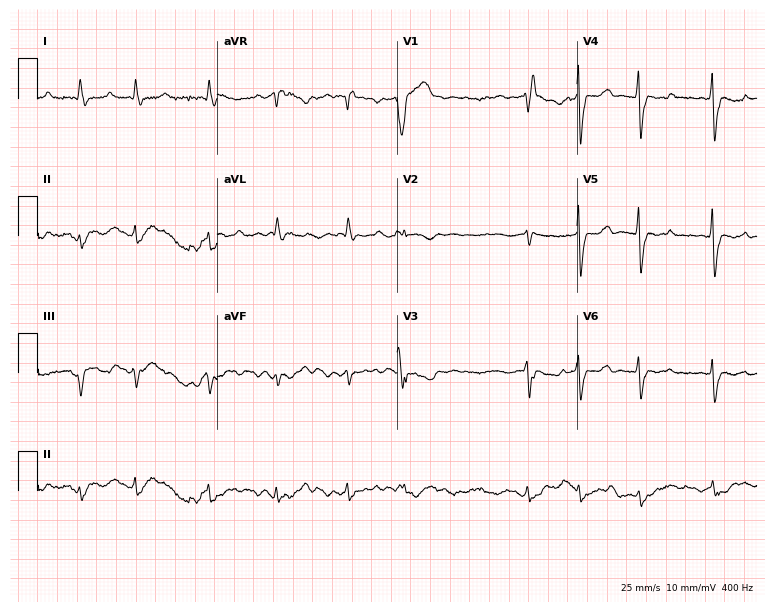
12-lead ECG from an 85-year-old male patient. Shows right bundle branch block (RBBB), atrial fibrillation (AF).